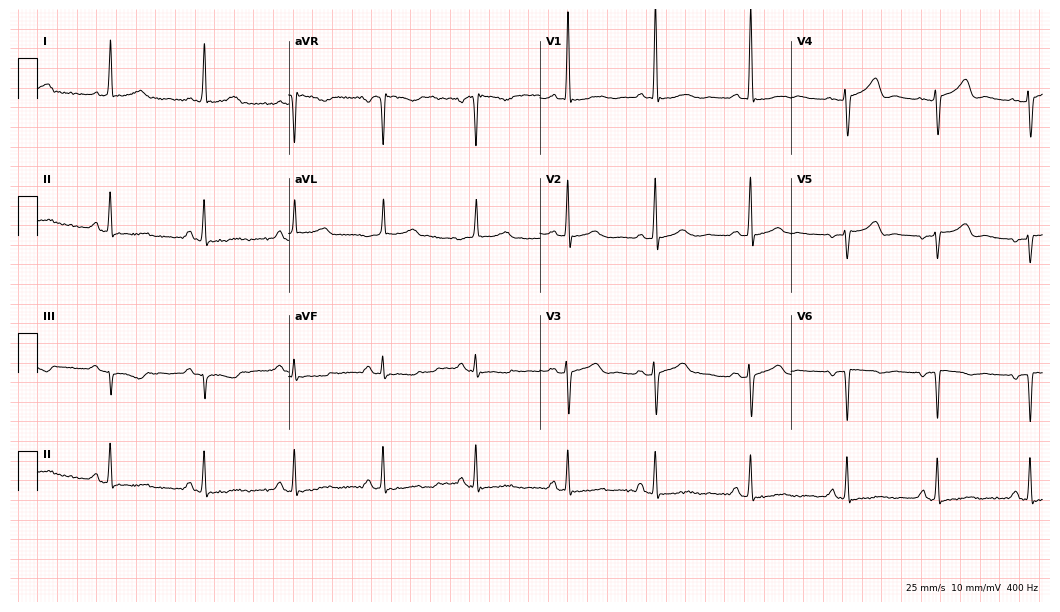
ECG — a female, 54 years old. Screened for six findings — first-degree AV block, right bundle branch block, left bundle branch block, sinus bradycardia, atrial fibrillation, sinus tachycardia — none is recorded. Findings outside these six are not listed.